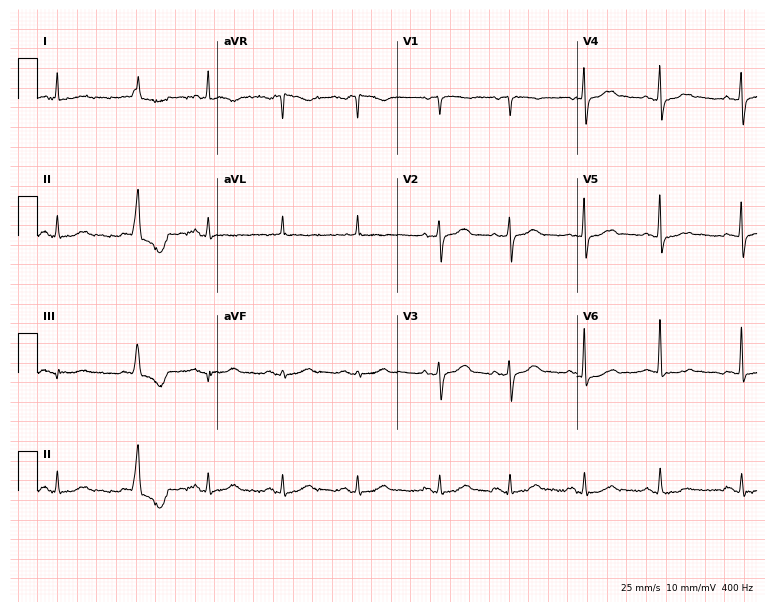
Electrocardiogram, a woman, 82 years old. Of the six screened findings (first-degree AV block, right bundle branch block, left bundle branch block, sinus bradycardia, atrial fibrillation, sinus tachycardia), none is recorded. Other findings, if any, are not listed.